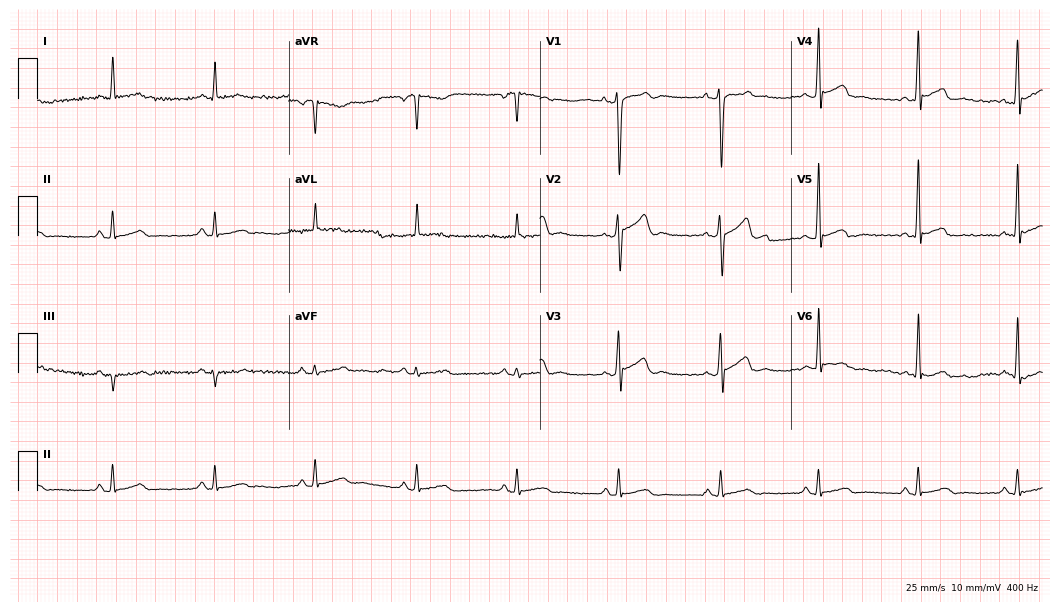
Electrocardiogram, a 41-year-old male patient. Overall reading on record: normal ECG.